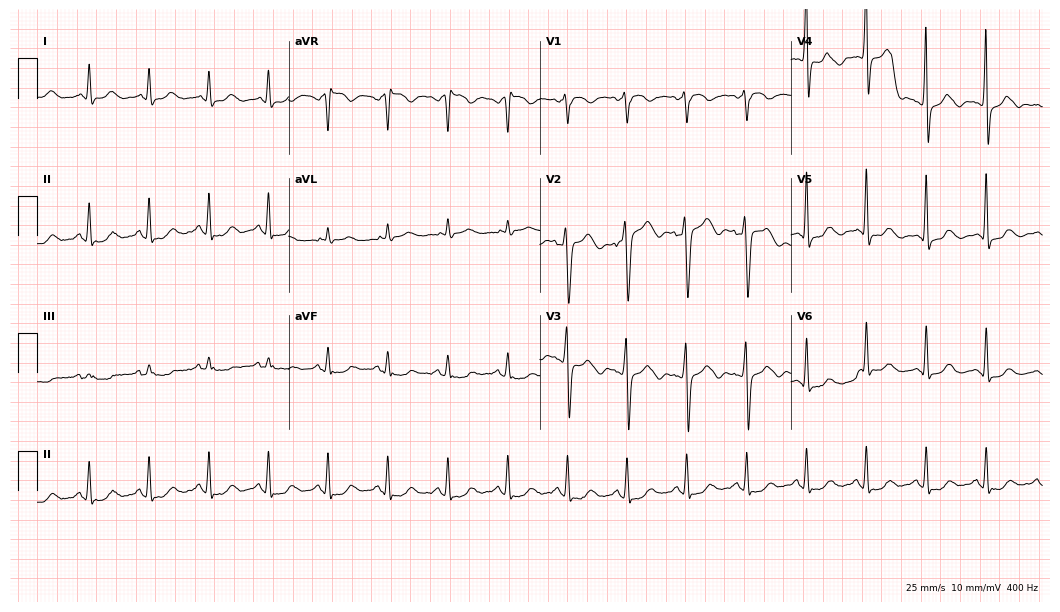
12-lead ECG (10.2-second recording at 400 Hz) from a 78-year-old male patient. Screened for six findings — first-degree AV block, right bundle branch block, left bundle branch block, sinus bradycardia, atrial fibrillation, sinus tachycardia — none is recorded. Other findings, if any, are not listed.